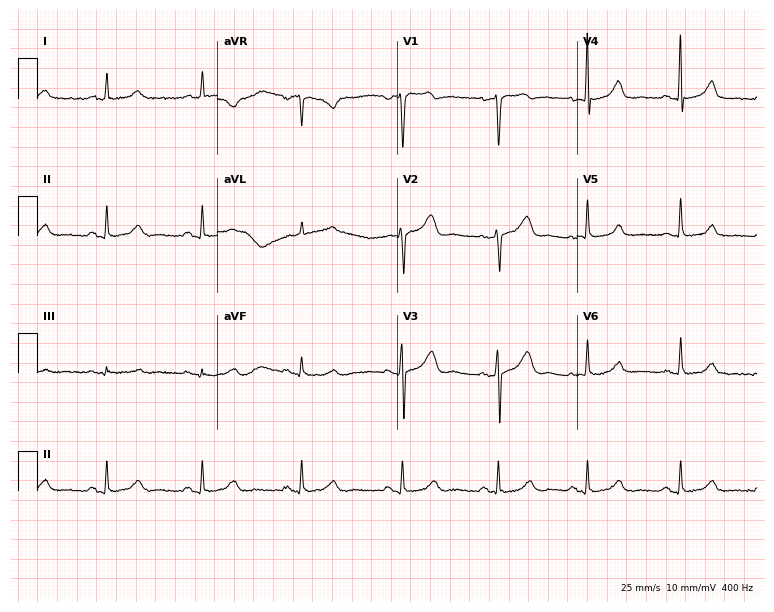
ECG — a female patient, 45 years old. Labelled as a normal ECG.